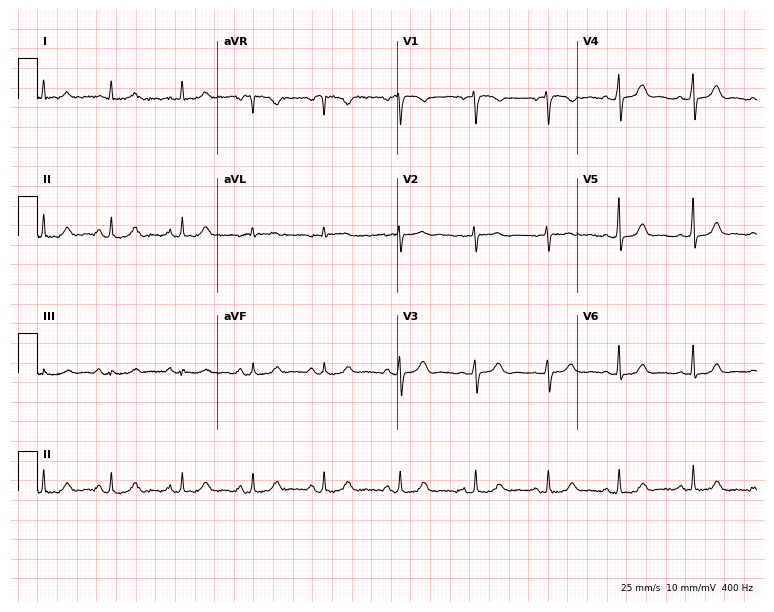
12-lead ECG from a 44-year-old female. Labelled as a normal ECG.